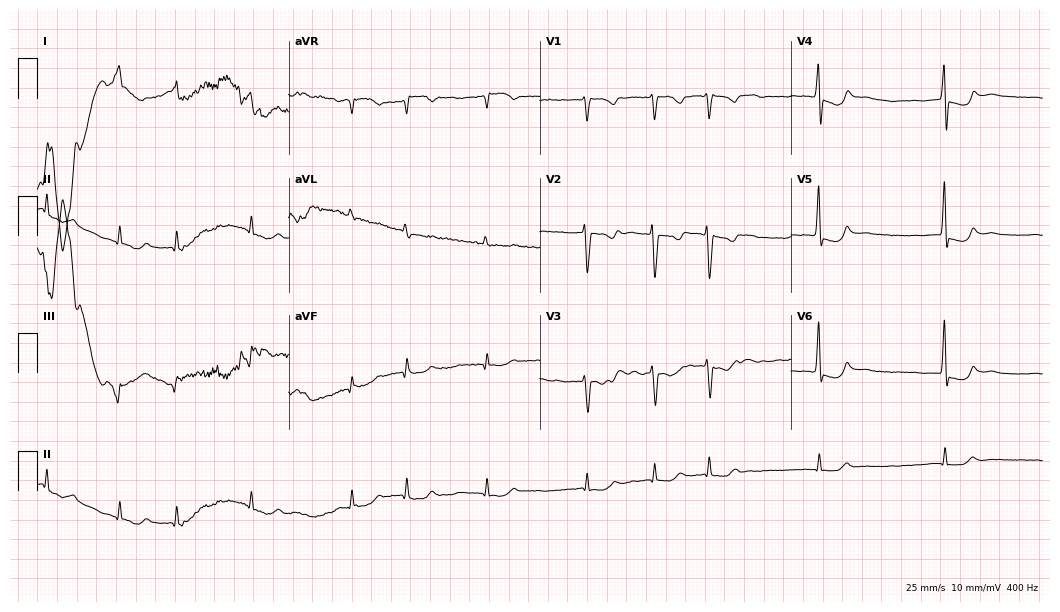
ECG — a female patient, 71 years old. Findings include atrial fibrillation (AF).